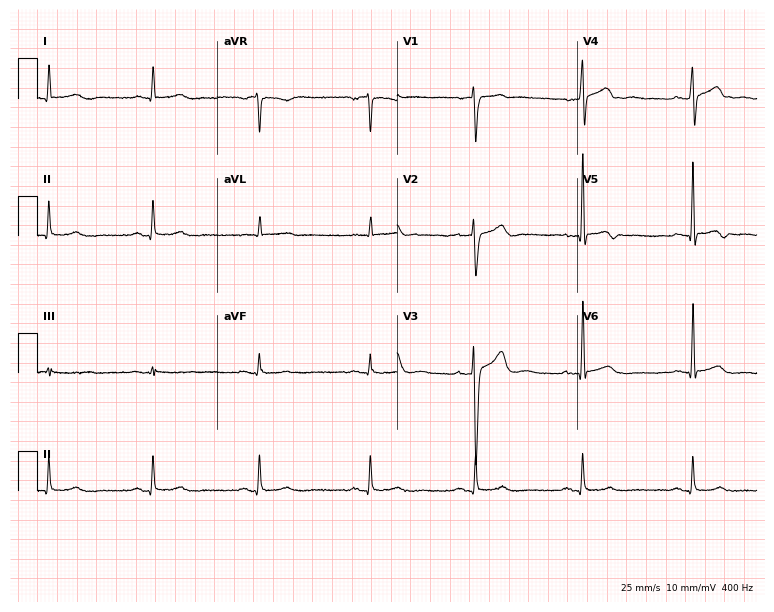
12-lead ECG from a male patient, 59 years old. Screened for six findings — first-degree AV block, right bundle branch block, left bundle branch block, sinus bradycardia, atrial fibrillation, sinus tachycardia — none is recorded.